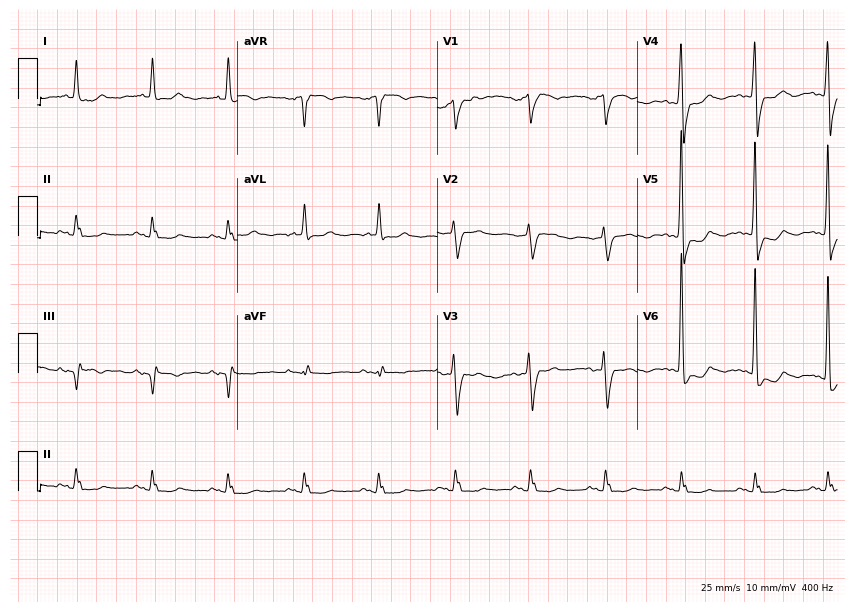
Standard 12-lead ECG recorded from an 83-year-old male patient (8.2-second recording at 400 Hz). None of these six findings is recorded: first-degree AV block, right bundle branch block, left bundle branch block, sinus bradycardia, atrial fibrillation, sinus tachycardia. Other findings, if any, are not listed.